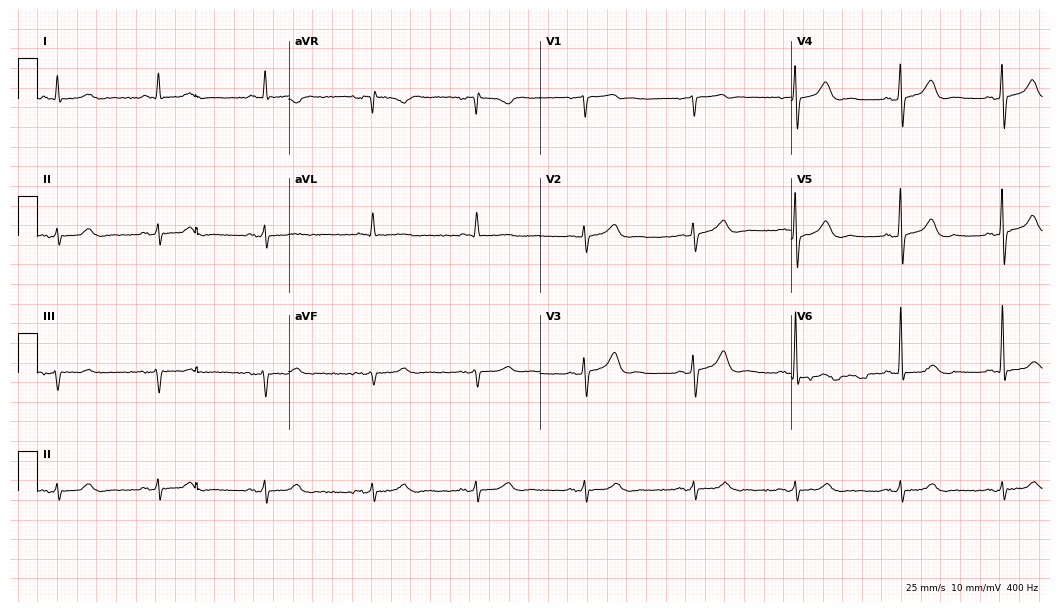
Electrocardiogram (10.2-second recording at 400 Hz), a male, 64 years old. Overall reading on record: normal ECG.